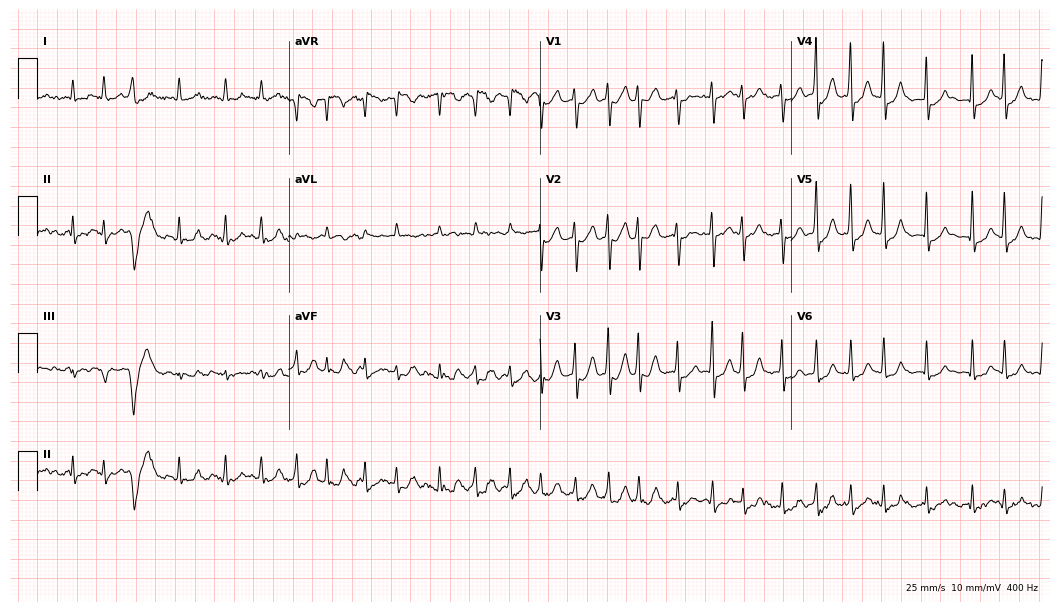
12-lead ECG from a female, 72 years old (10.2-second recording at 400 Hz). Shows atrial fibrillation (AF).